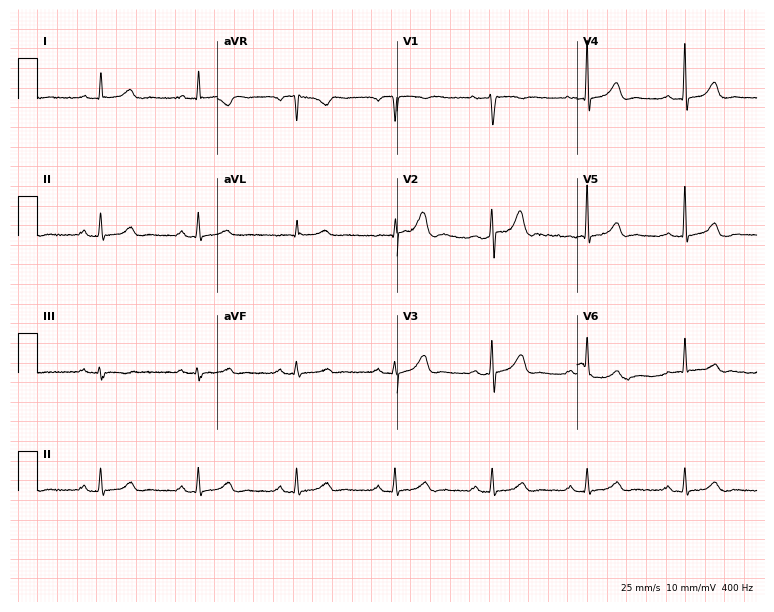
Electrocardiogram (7.3-second recording at 400 Hz), a 49-year-old female. Overall reading on record: normal ECG.